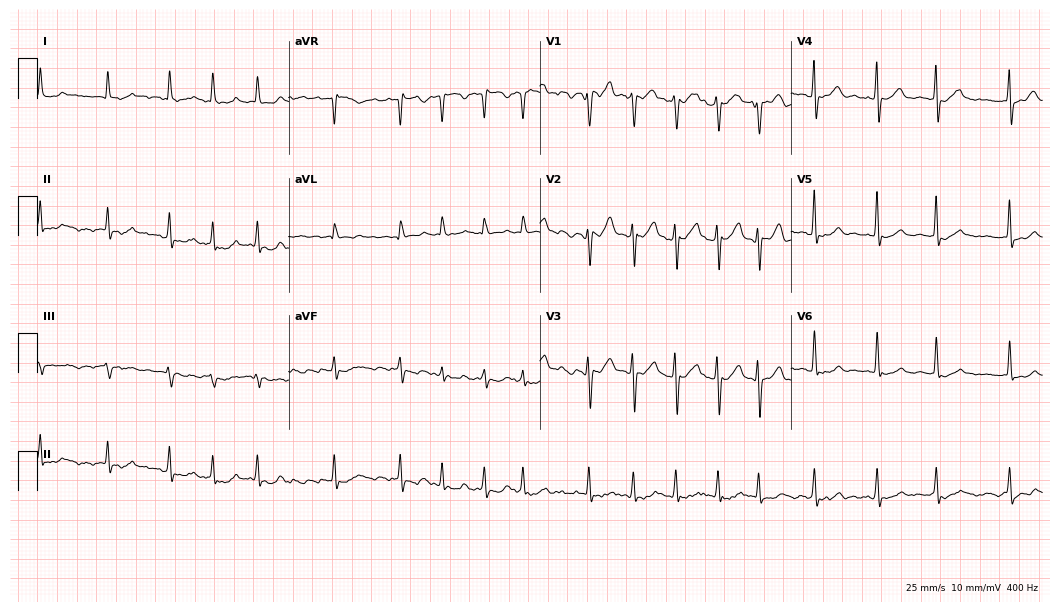
12-lead ECG (10.2-second recording at 400 Hz) from a 65-year-old female patient. Findings include atrial fibrillation (AF).